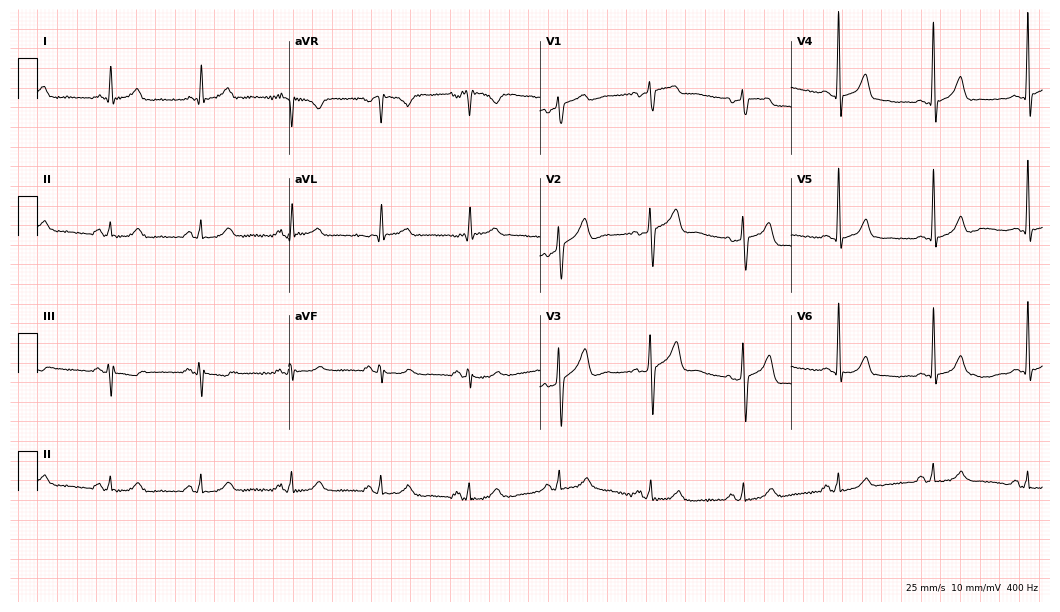
ECG (10.2-second recording at 400 Hz) — a male, 39 years old. Labelled as a normal ECG.